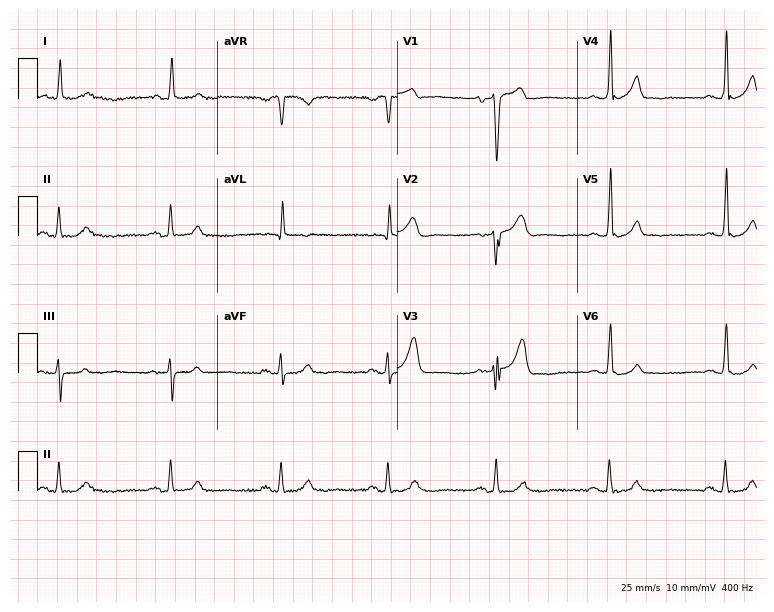
Standard 12-lead ECG recorded from a 72-year-old man. None of these six findings is recorded: first-degree AV block, right bundle branch block, left bundle branch block, sinus bradycardia, atrial fibrillation, sinus tachycardia.